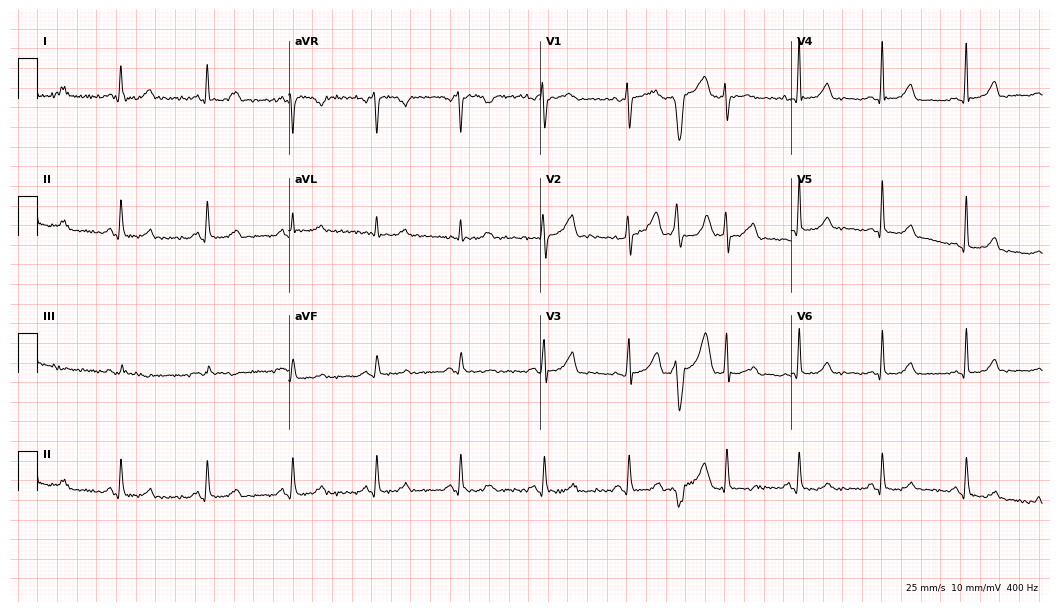
Electrocardiogram (10.2-second recording at 400 Hz), a 47-year-old woman. Of the six screened findings (first-degree AV block, right bundle branch block (RBBB), left bundle branch block (LBBB), sinus bradycardia, atrial fibrillation (AF), sinus tachycardia), none is recorded. Only these six findings were labelled.